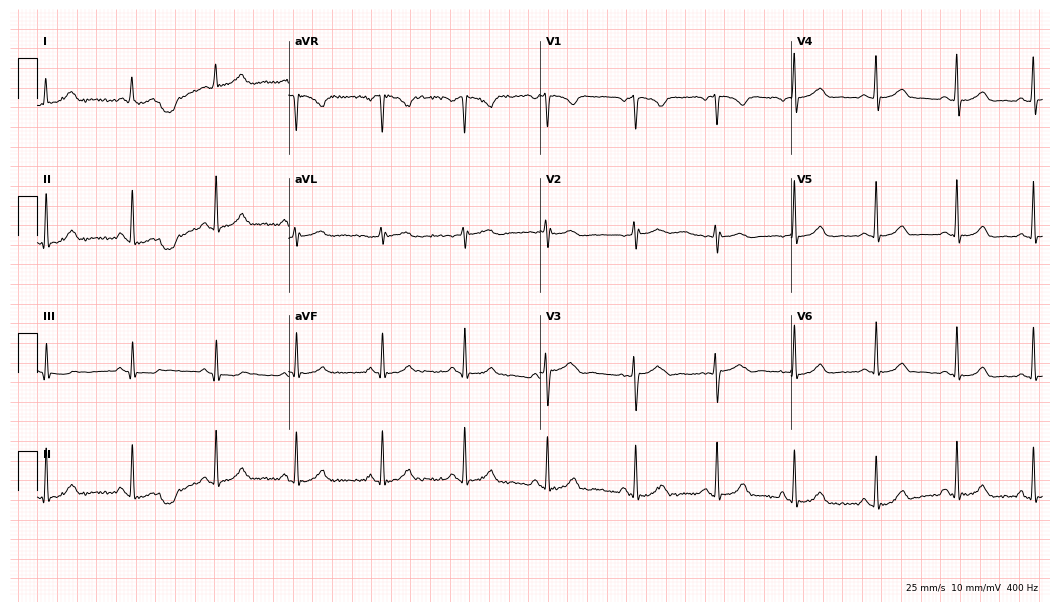
Resting 12-lead electrocardiogram. Patient: a 21-year-old woman. None of these six findings is recorded: first-degree AV block, right bundle branch block, left bundle branch block, sinus bradycardia, atrial fibrillation, sinus tachycardia. Other findings, if any, are not listed.